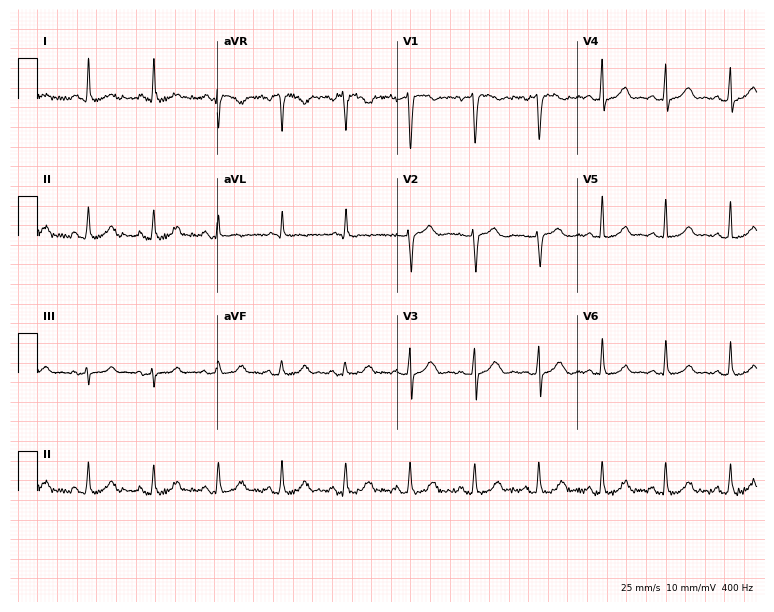
12-lead ECG from a 38-year-old woman. Recorded interpretation: within normal limits.